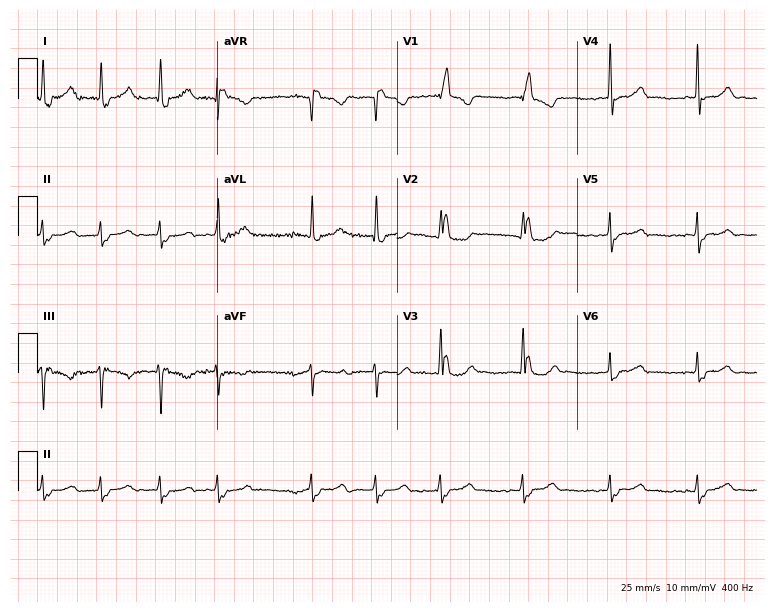
Resting 12-lead electrocardiogram. Patient: an 81-year-old female. The tracing shows atrial fibrillation (AF).